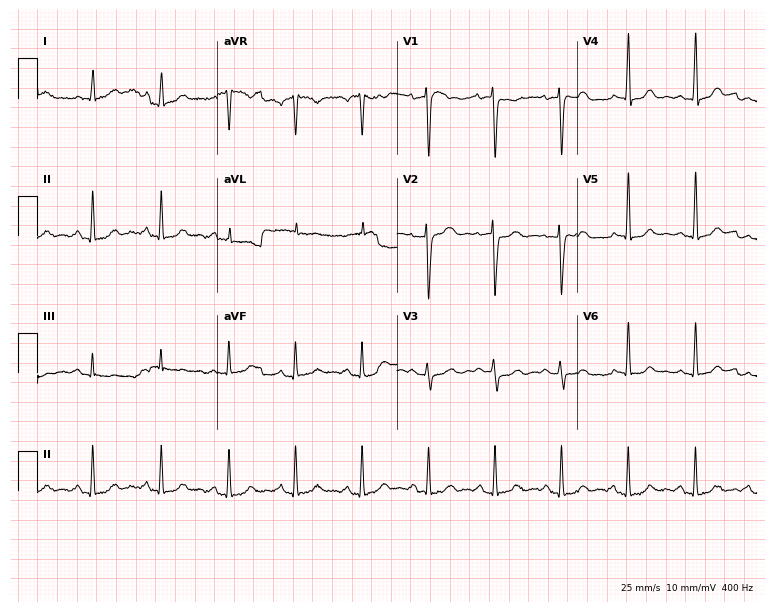
Standard 12-lead ECG recorded from a woman, 42 years old (7.3-second recording at 400 Hz). Read as a normal ECG.